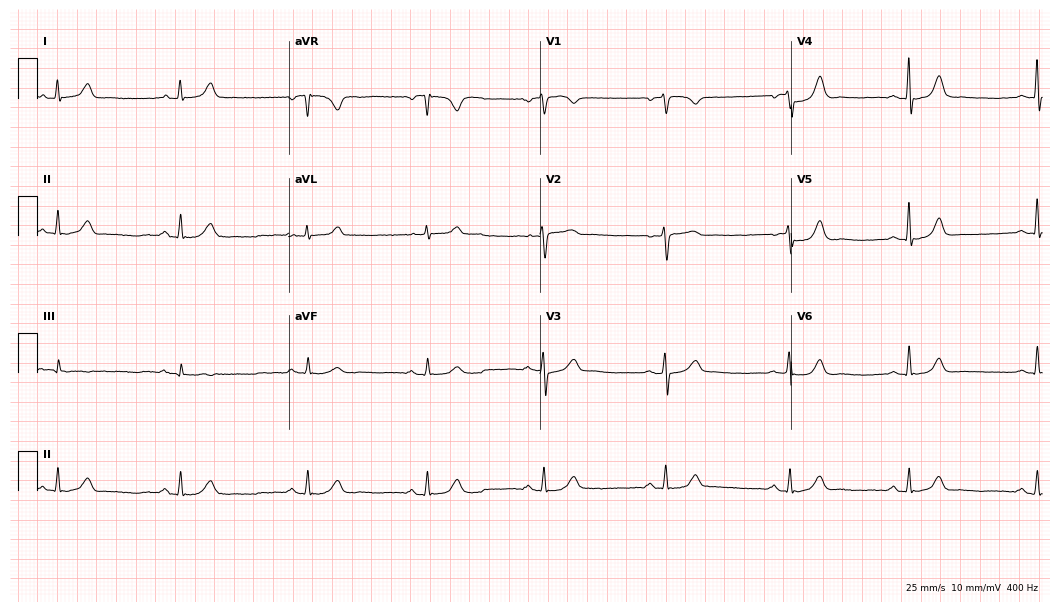
12-lead ECG from a female, 53 years old. Recorded interpretation: within normal limits.